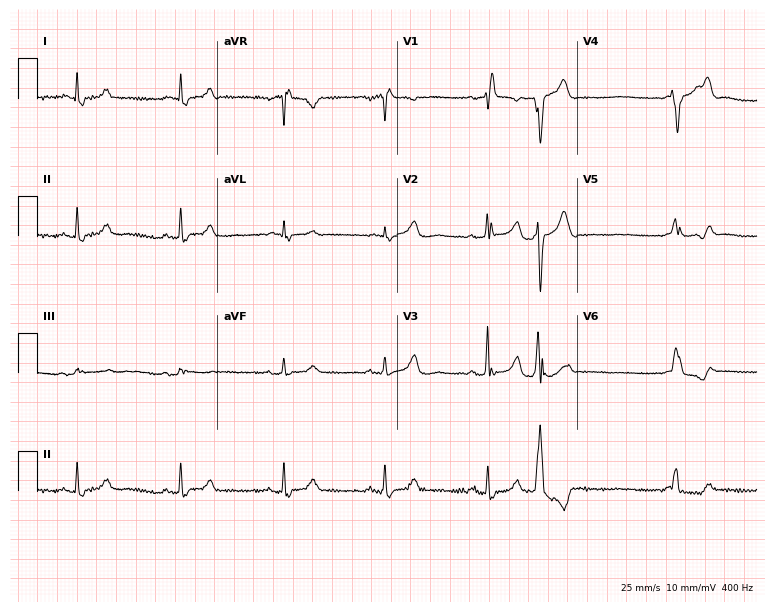
Electrocardiogram, an 80-year-old woman. Of the six screened findings (first-degree AV block, right bundle branch block, left bundle branch block, sinus bradycardia, atrial fibrillation, sinus tachycardia), none is recorded.